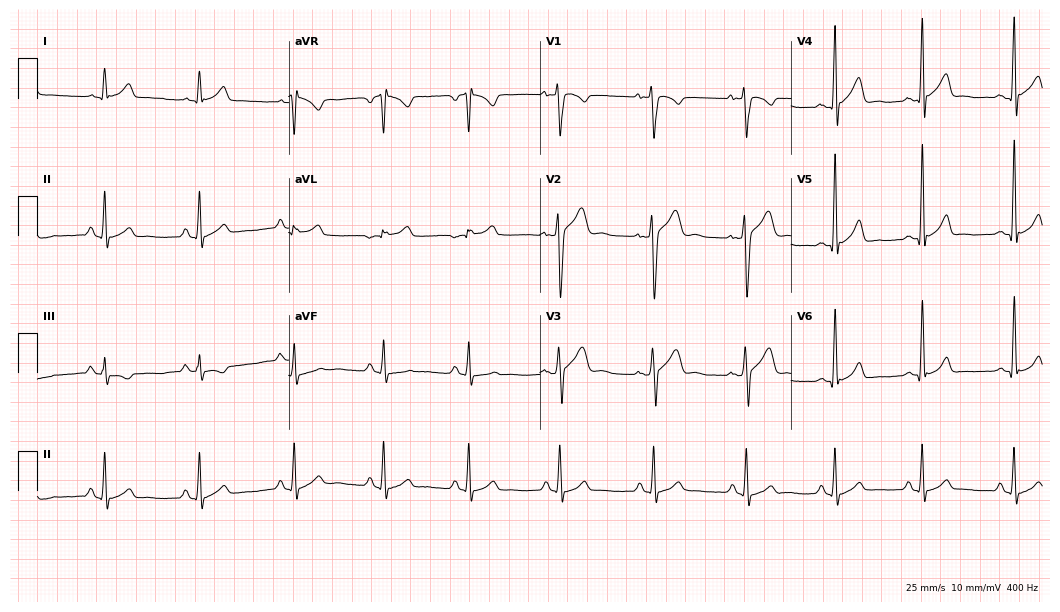
ECG — a 24-year-old male. Labelled as a normal ECG.